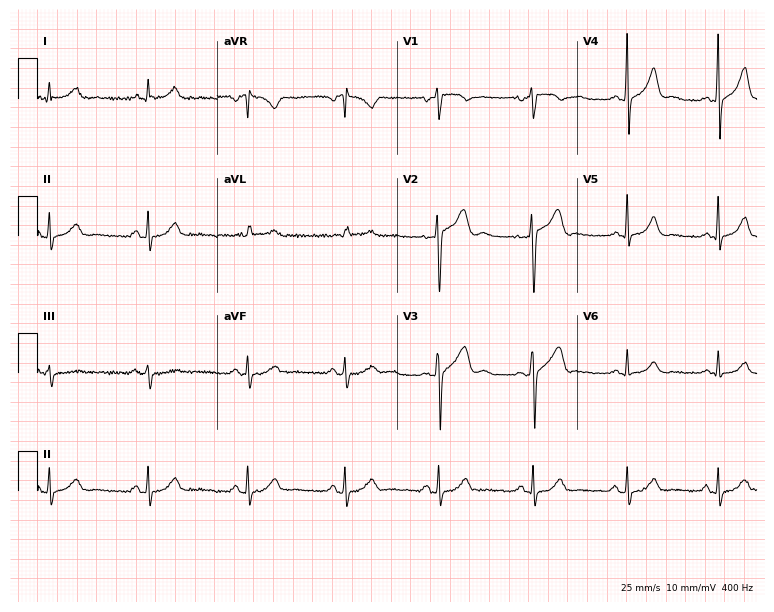
Standard 12-lead ECG recorded from a man, 42 years old (7.3-second recording at 400 Hz). Read as a normal ECG.